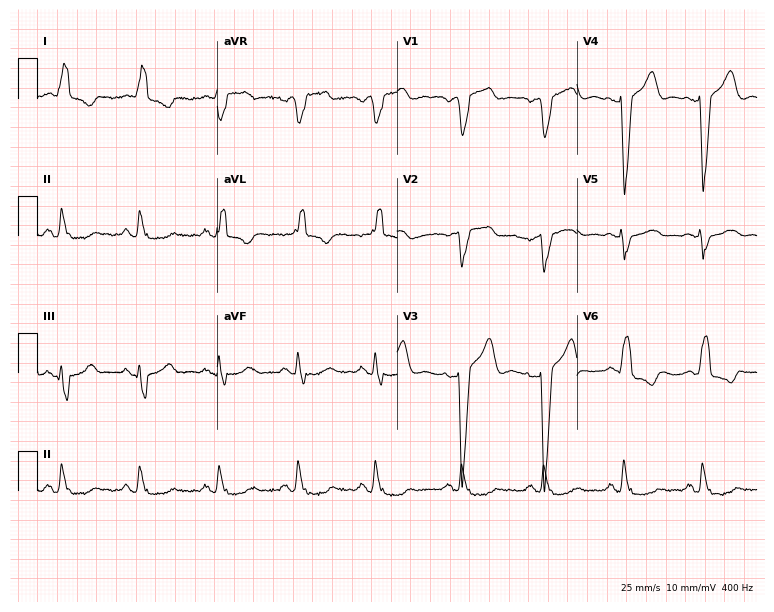
Standard 12-lead ECG recorded from a 68-year-old female patient (7.3-second recording at 400 Hz). The tracing shows left bundle branch block.